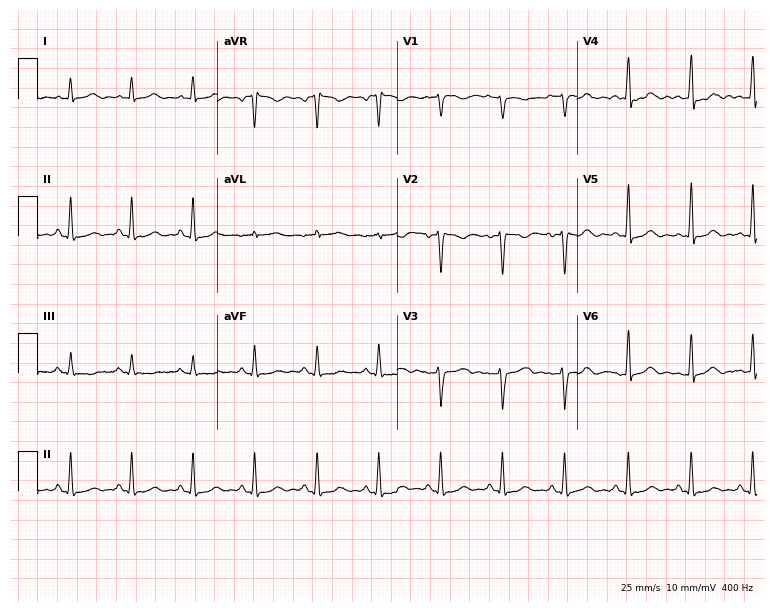
Electrocardiogram (7.3-second recording at 400 Hz), a 44-year-old woman. Of the six screened findings (first-degree AV block, right bundle branch block, left bundle branch block, sinus bradycardia, atrial fibrillation, sinus tachycardia), none is recorded. Only these six findings were labelled.